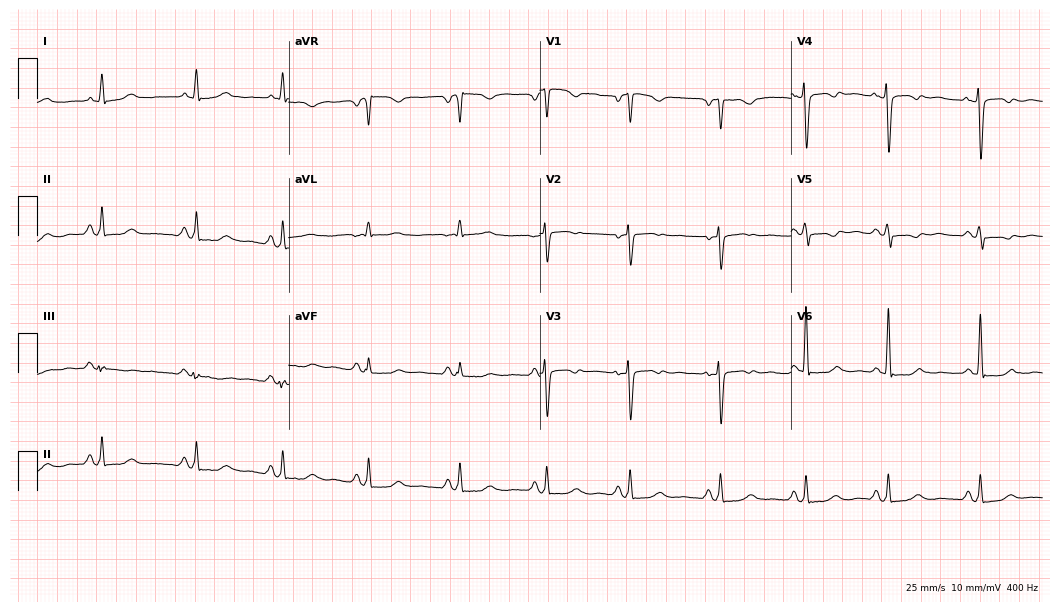
ECG — a 49-year-old woman. Screened for six findings — first-degree AV block, right bundle branch block, left bundle branch block, sinus bradycardia, atrial fibrillation, sinus tachycardia — none is recorded.